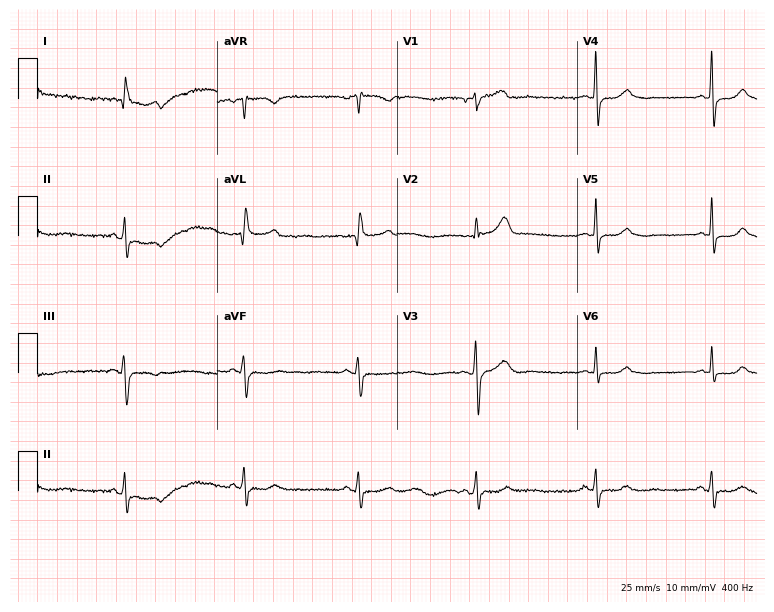
12-lead ECG (7.3-second recording at 400 Hz) from a 57-year-old male. Screened for six findings — first-degree AV block, right bundle branch block, left bundle branch block, sinus bradycardia, atrial fibrillation, sinus tachycardia — none is recorded.